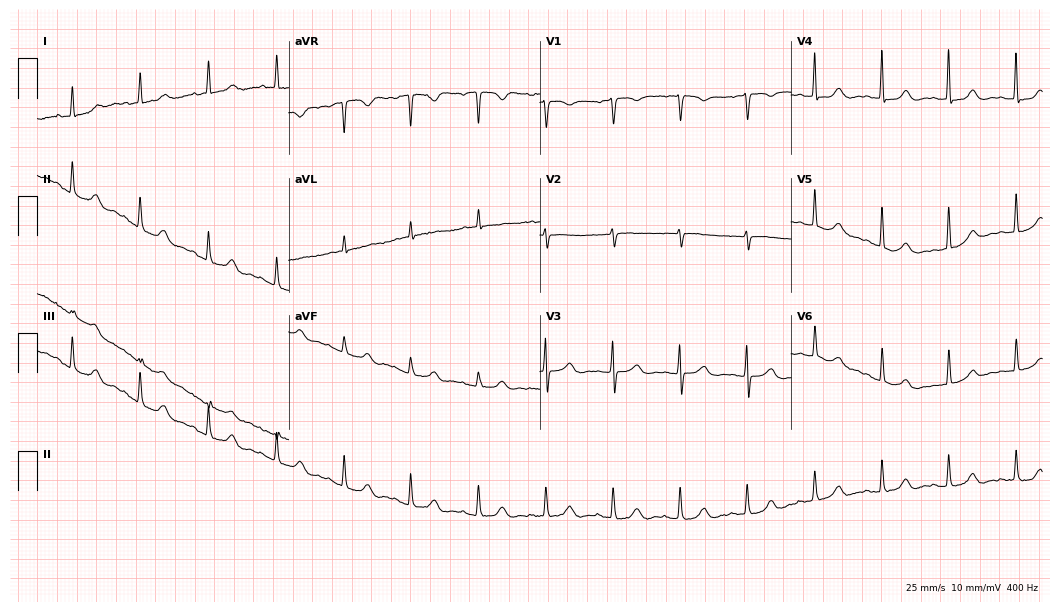
12-lead ECG from a 74-year-old woman. Recorded interpretation: within normal limits.